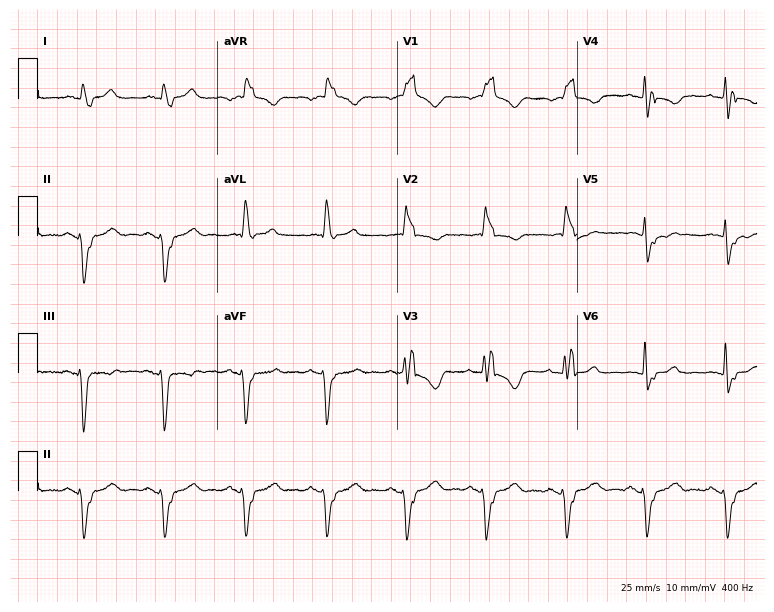
Standard 12-lead ECG recorded from an 81-year-old man. The tracing shows right bundle branch block.